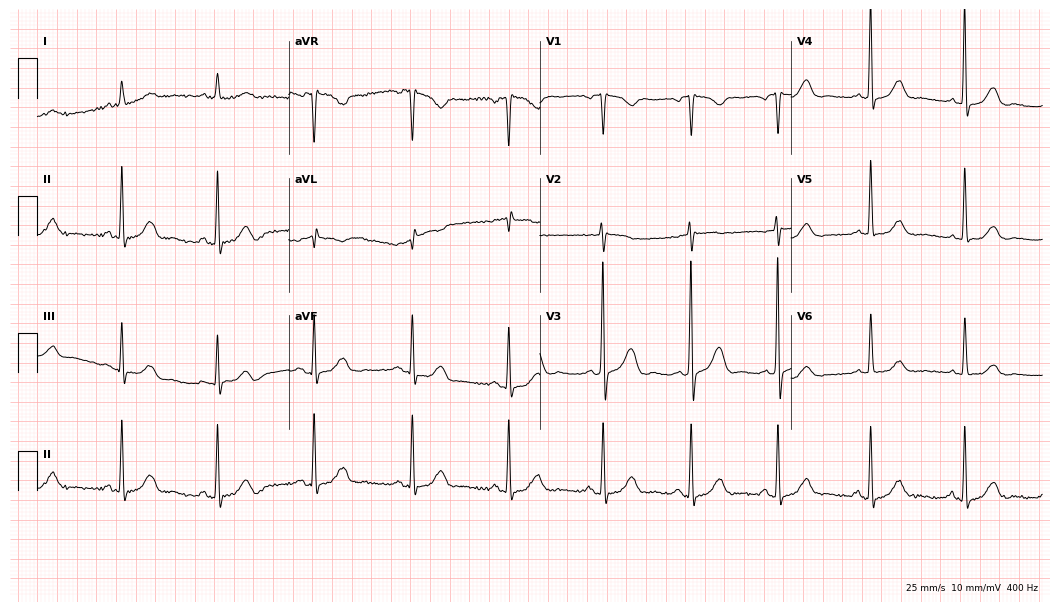
Standard 12-lead ECG recorded from a female patient, 79 years old (10.2-second recording at 400 Hz). None of these six findings is recorded: first-degree AV block, right bundle branch block, left bundle branch block, sinus bradycardia, atrial fibrillation, sinus tachycardia.